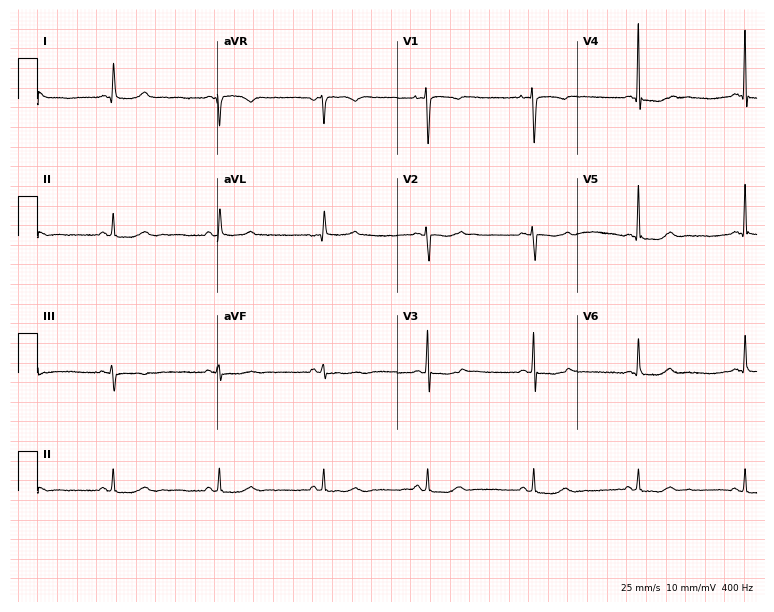
12-lead ECG from a 42-year-old female. Labelled as a normal ECG.